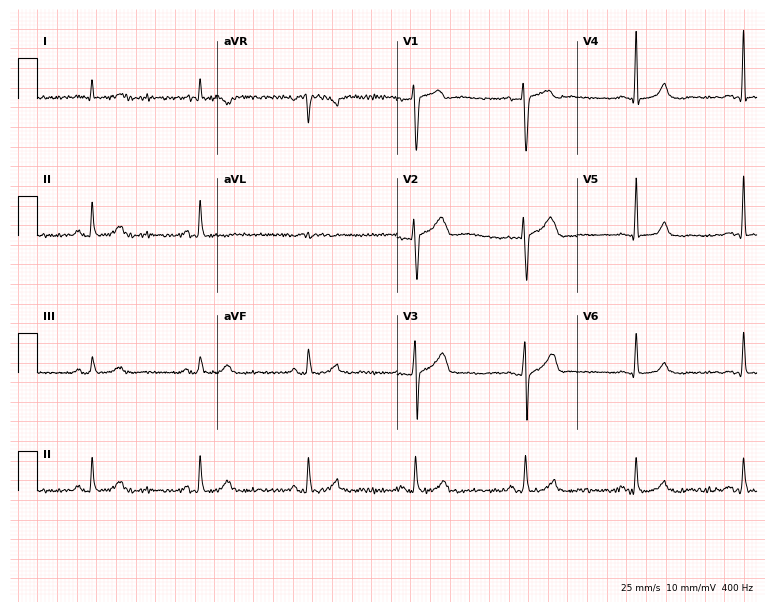
Resting 12-lead electrocardiogram (7.3-second recording at 400 Hz). Patient: a 43-year-old male. Read as a normal ECG.